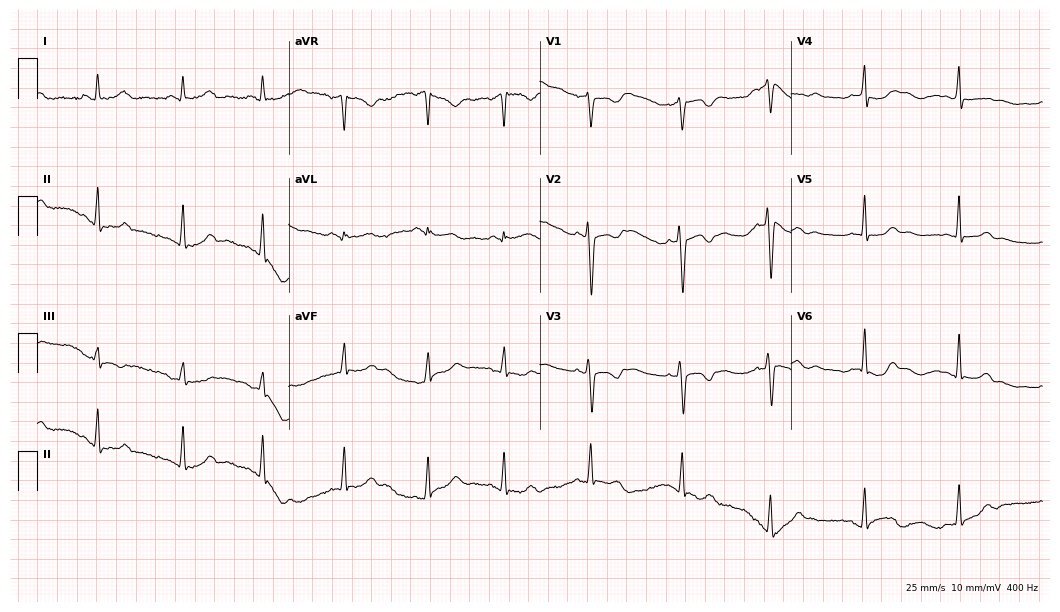
Standard 12-lead ECG recorded from a woman, 34 years old. Read as a normal ECG.